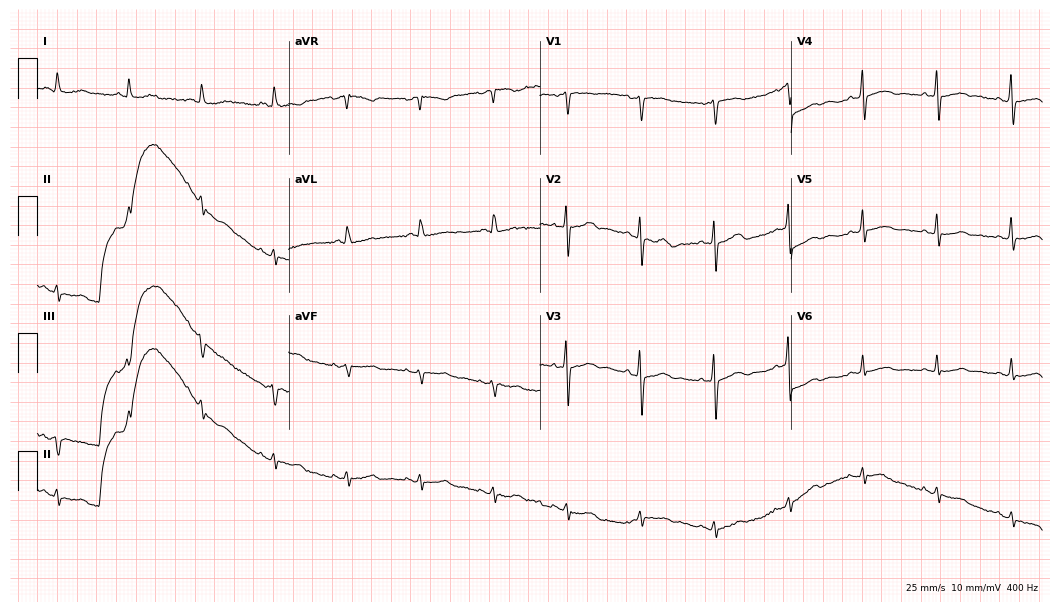
ECG — a 73-year-old woman. Screened for six findings — first-degree AV block, right bundle branch block, left bundle branch block, sinus bradycardia, atrial fibrillation, sinus tachycardia — none is recorded. Only these six findings were labelled.